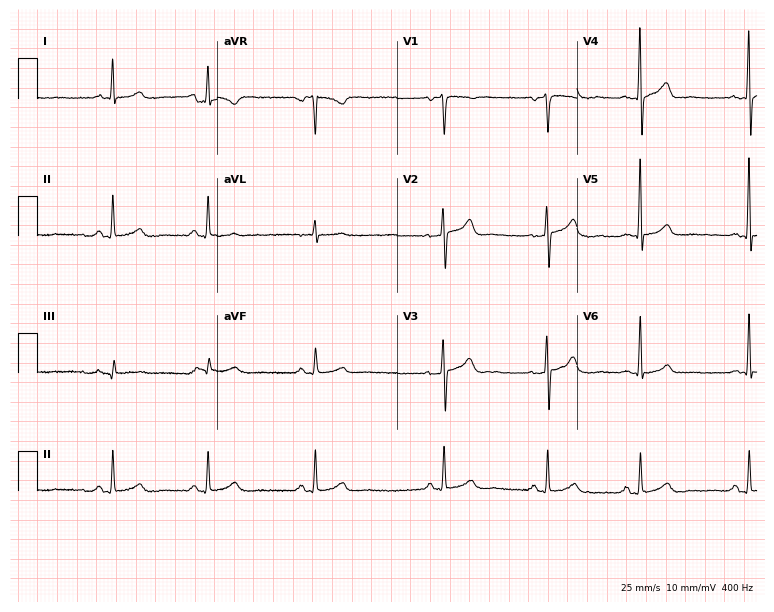
Resting 12-lead electrocardiogram. Patient: a 43-year-old man. Read as a normal ECG.